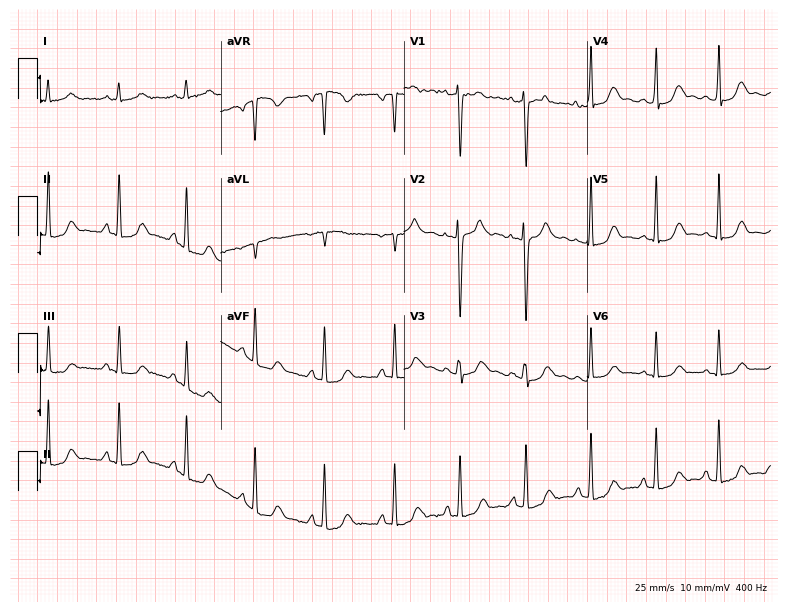
Standard 12-lead ECG recorded from a 30-year-old female. Read as a normal ECG.